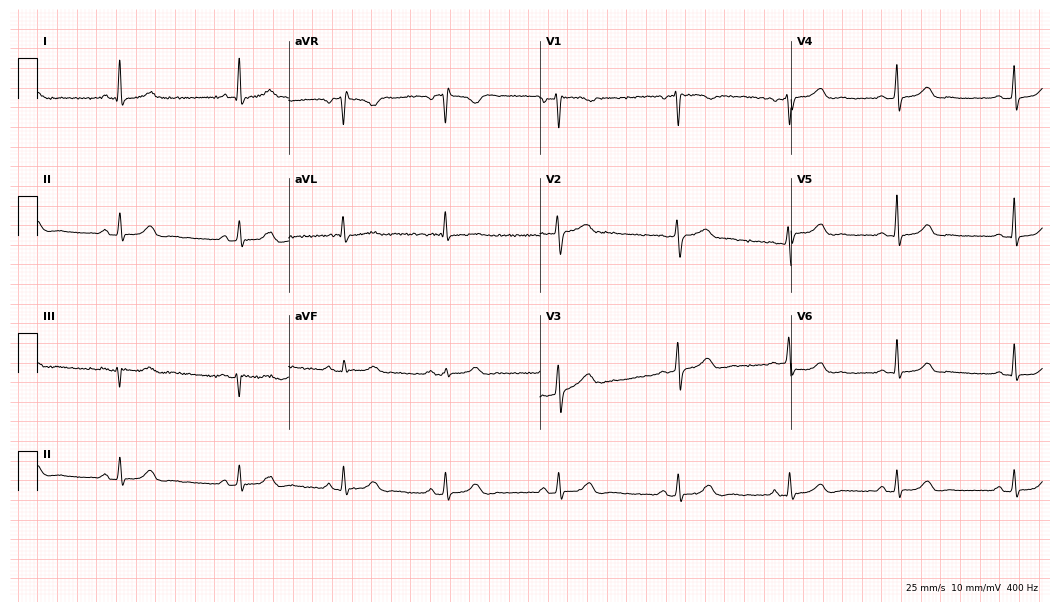
Standard 12-lead ECG recorded from a woman, 64 years old. Read as a normal ECG.